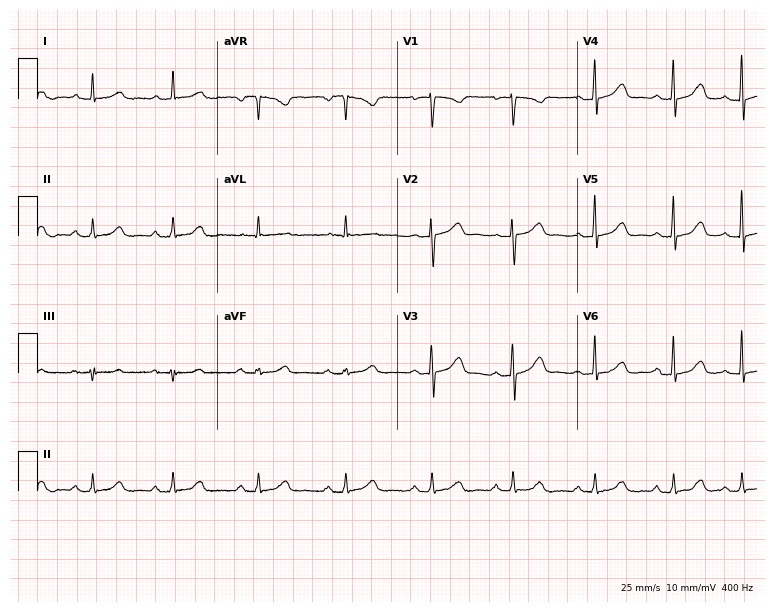
12-lead ECG (7.3-second recording at 400 Hz) from a female, 47 years old. Screened for six findings — first-degree AV block, right bundle branch block, left bundle branch block, sinus bradycardia, atrial fibrillation, sinus tachycardia — none is recorded.